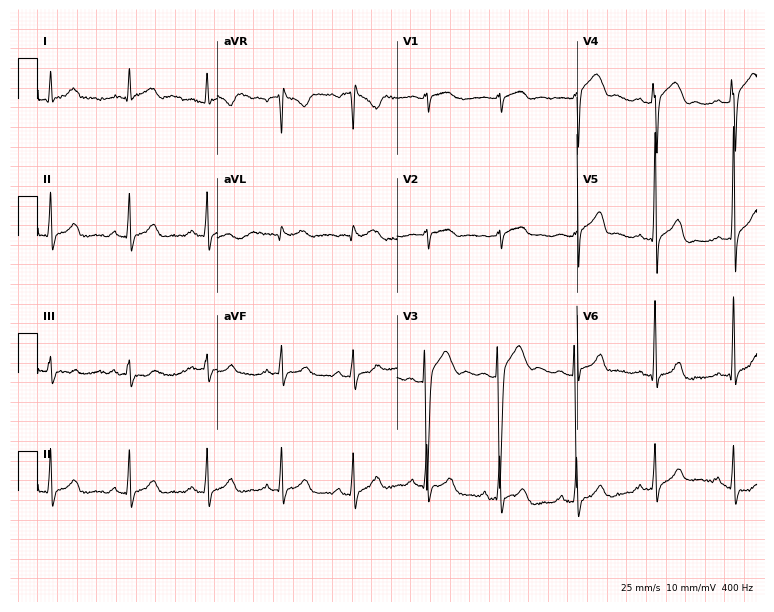
ECG (7.3-second recording at 400 Hz) — a 36-year-old male. Labelled as a normal ECG.